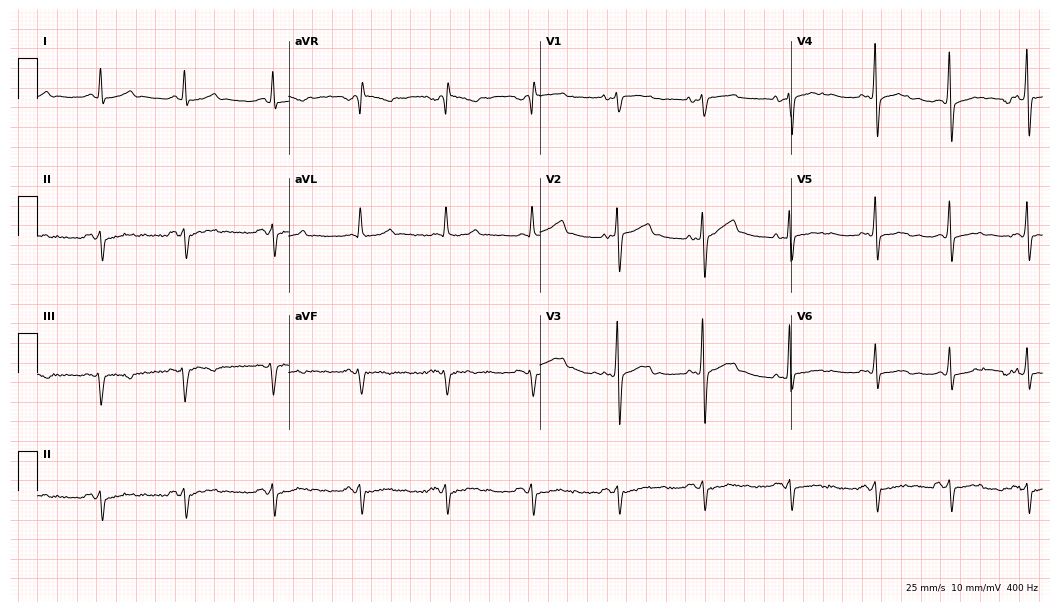
Resting 12-lead electrocardiogram (10.2-second recording at 400 Hz). Patient: a male, 44 years old. None of these six findings is recorded: first-degree AV block, right bundle branch block (RBBB), left bundle branch block (LBBB), sinus bradycardia, atrial fibrillation (AF), sinus tachycardia.